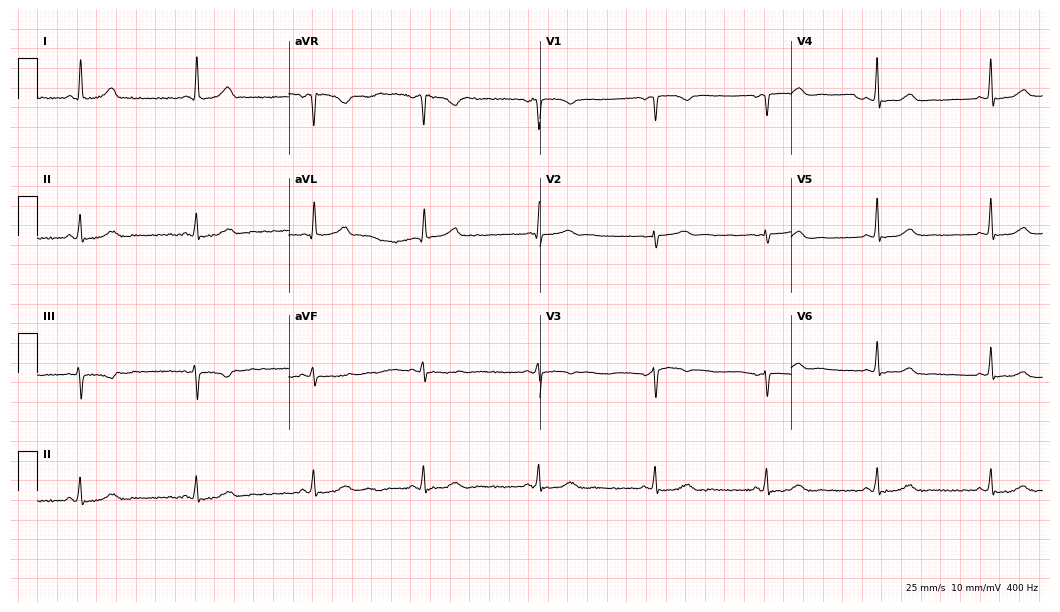
12-lead ECG (10.2-second recording at 400 Hz) from a woman, 48 years old. Screened for six findings — first-degree AV block, right bundle branch block (RBBB), left bundle branch block (LBBB), sinus bradycardia, atrial fibrillation (AF), sinus tachycardia — none is recorded.